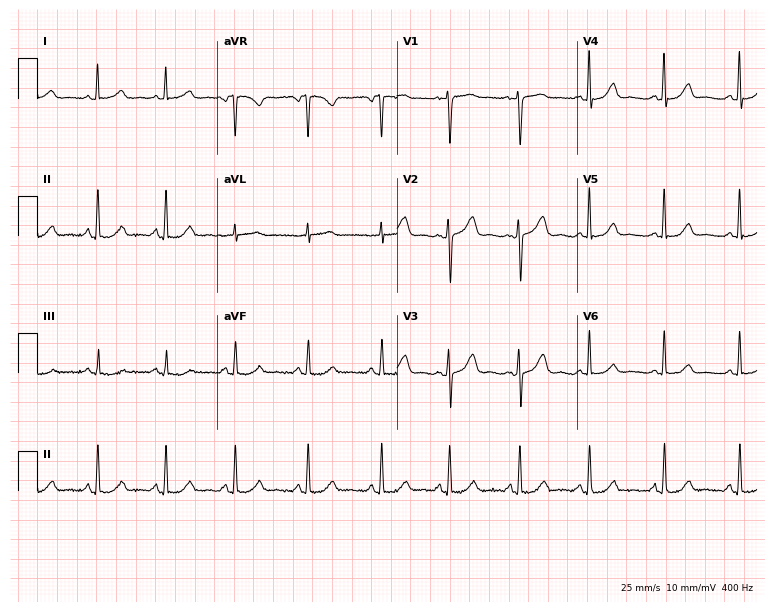
12-lead ECG (7.3-second recording at 400 Hz) from a female patient, 48 years old. Labelled as a normal ECG.